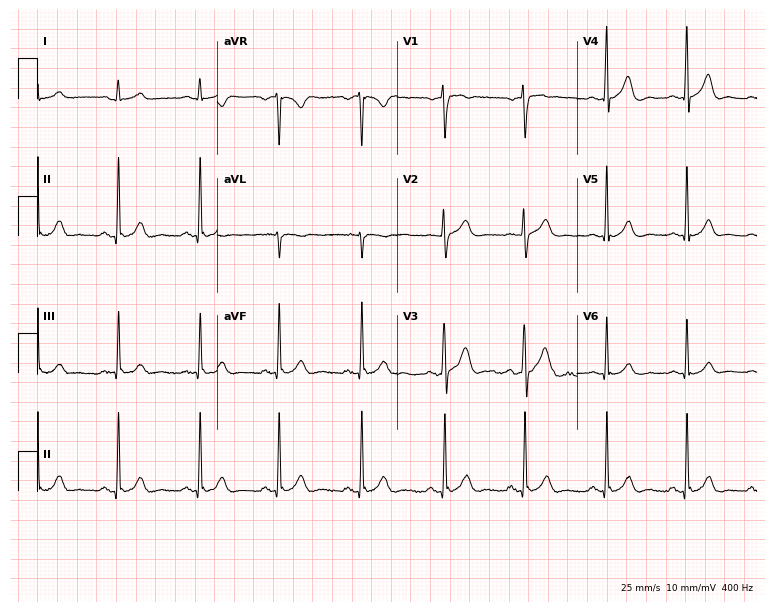
12-lead ECG from a 28-year-old man (7.3-second recording at 400 Hz). Recorded interpretation: within normal limits.